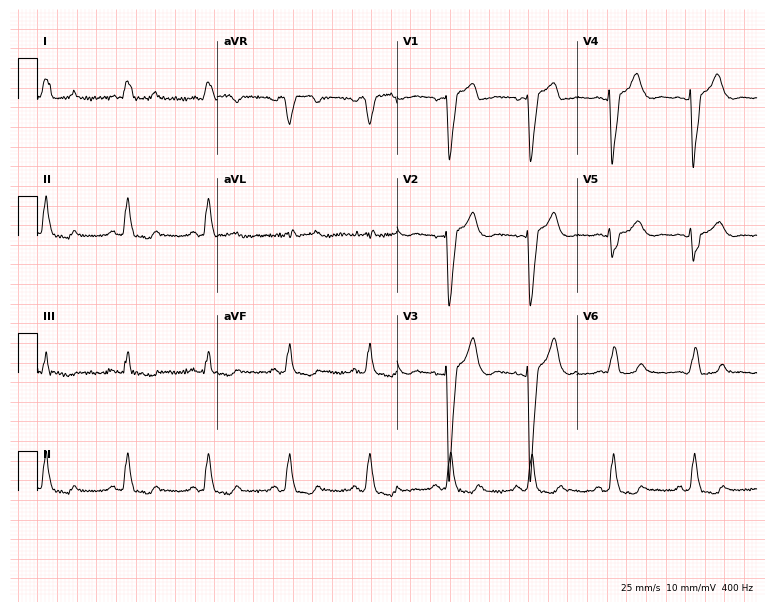
12-lead ECG (7.3-second recording at 400 Hz) from a male, 78 years old. Findings include left bundle branch block.